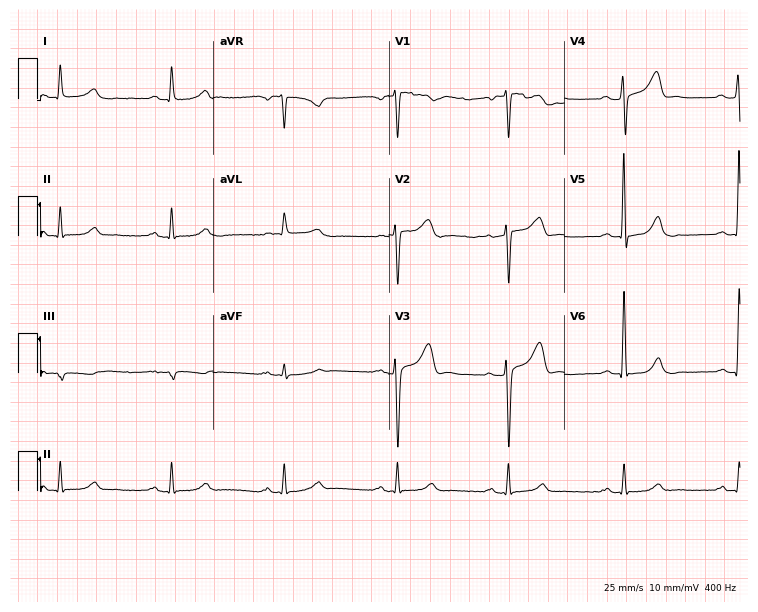
Electrocardiogram, a male, 61 years old. Overall reading on record: normal ECG.